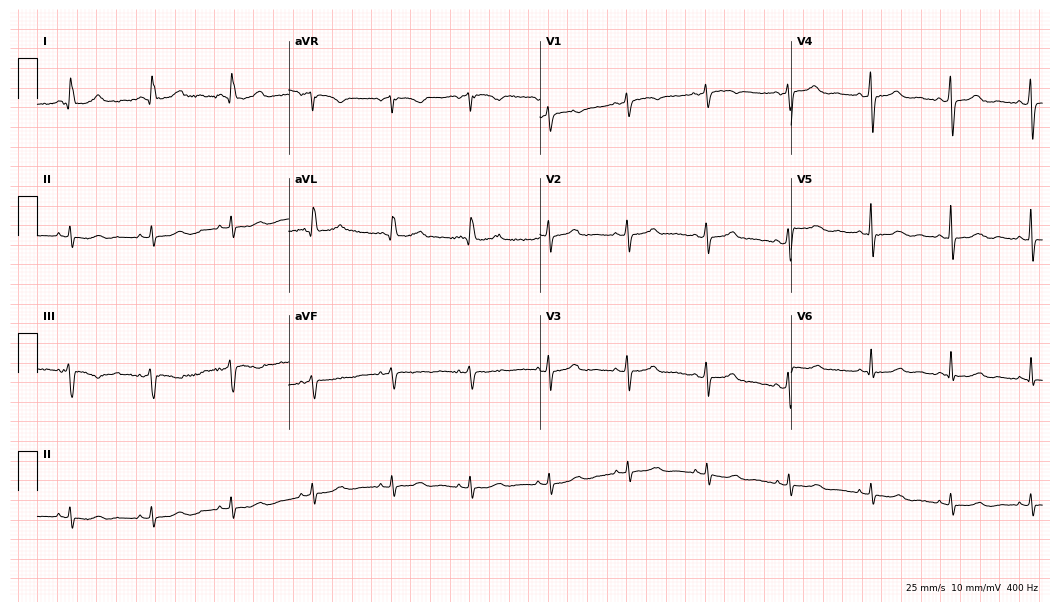
ECG (10.2-second recording at 400 Hz) — a female patient, 61 years old. Screened for six findings — first-degree AV block, right bundle branch block (RBBB), left bundle branch block (LBBB), sinus bradycardia, atrial fibrillation (AF), sinus tachycardia — none is recorded.